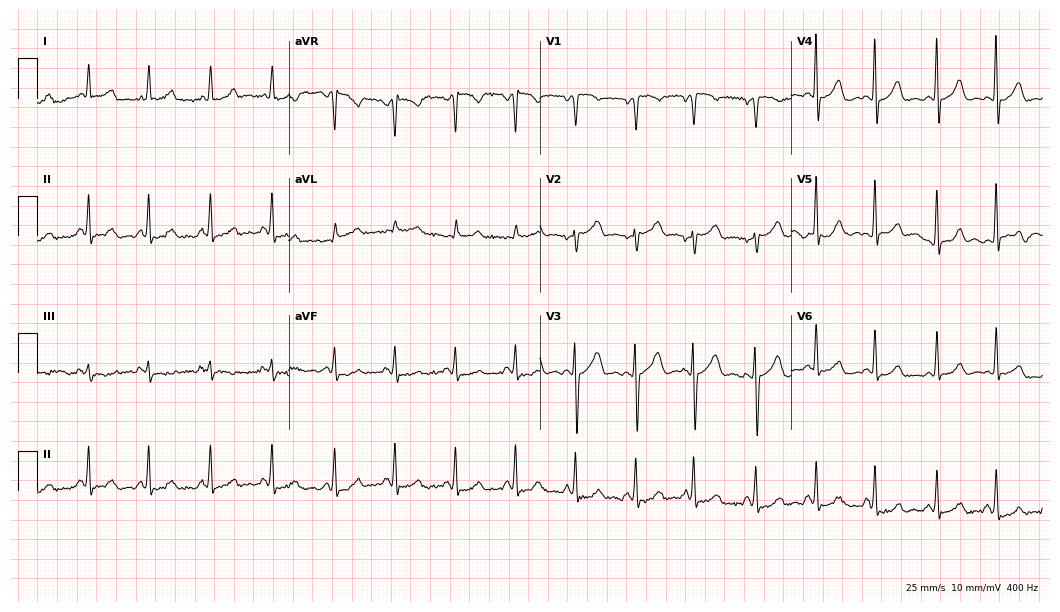
Electrocardiogram (10.2-second recording at 400 Hz), a female, 28 years old. Of the six screened findings (first-degree AV block, right bundle branch block, left bundle branch block, sinus bradycardia, atrial fibrillation, sinus tachycardia), none is recorded.